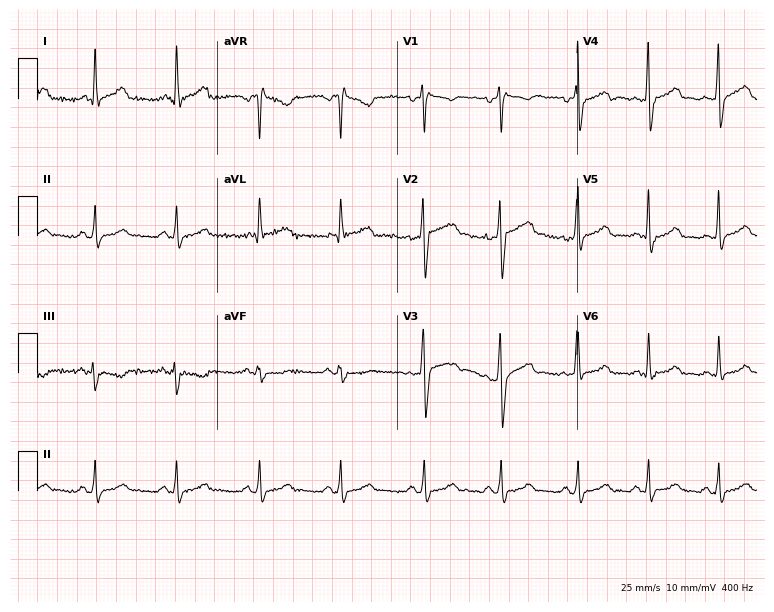
ECG — a 41-year-old male patient. Screened for six findings — first-degree AV block, right bundle branch block, left bundle branch block, sinus bradycardia, atrial fibrillation, sinus tachycardia — none is recorded. Other findings, if any, are not listed.